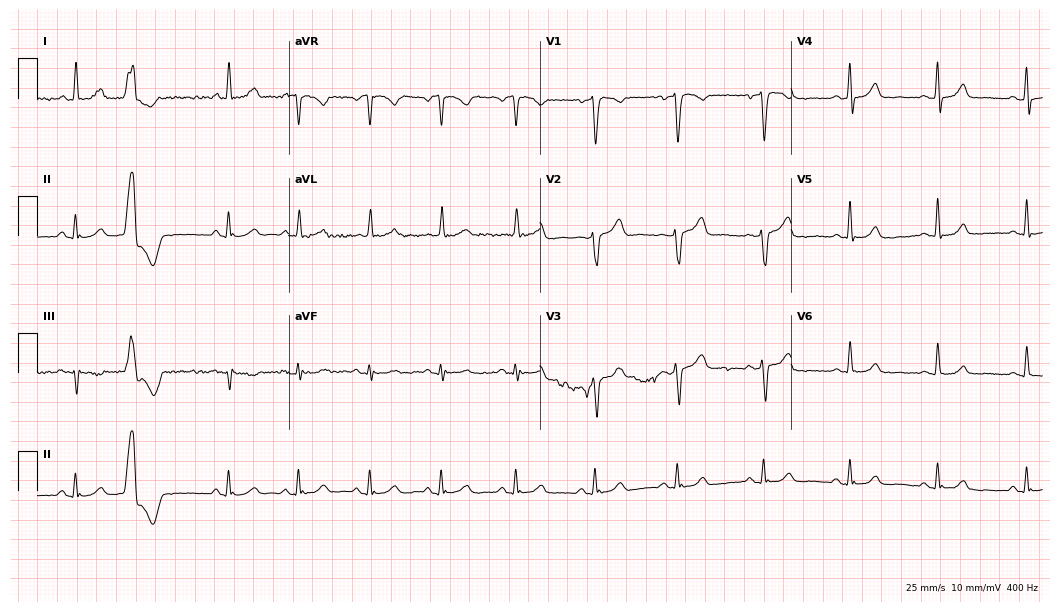
ECG — a female patient, 51 years old. Screened for six findings — first-degree AV block, right bundle branch block, left bundle branch block, sinus bradycardia, atrial fibrillation, sinus tachycardia — none is recorded.